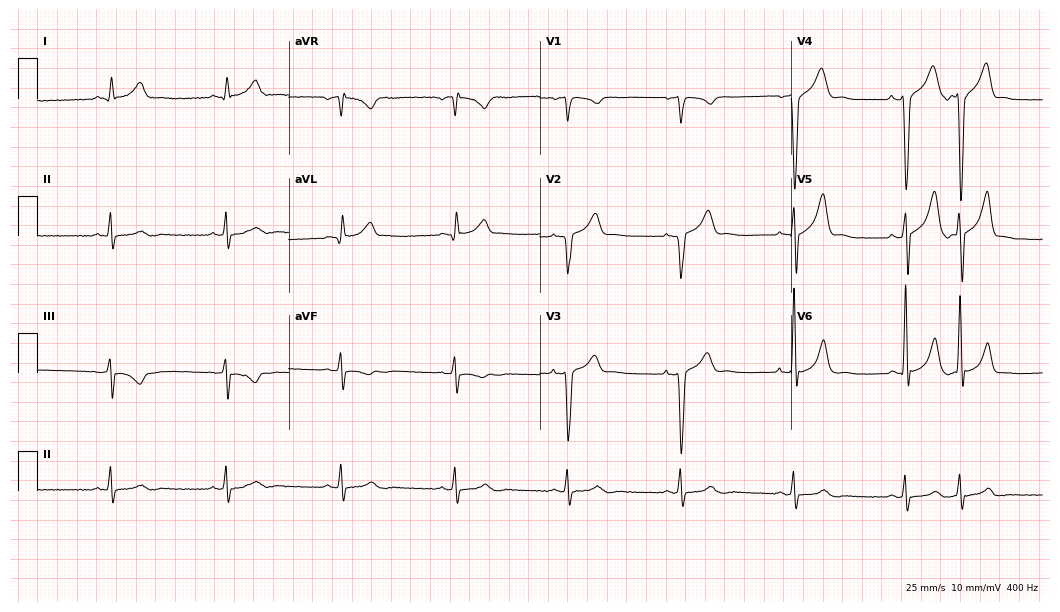
Electrocardiogram, a male, 59 years old. Of the six screened findings (first-degree AV block, right bundle branch block, left bundle branch block, sinus bradycardia, atrial fibrillation, sinus tachycardia), none is recorded.